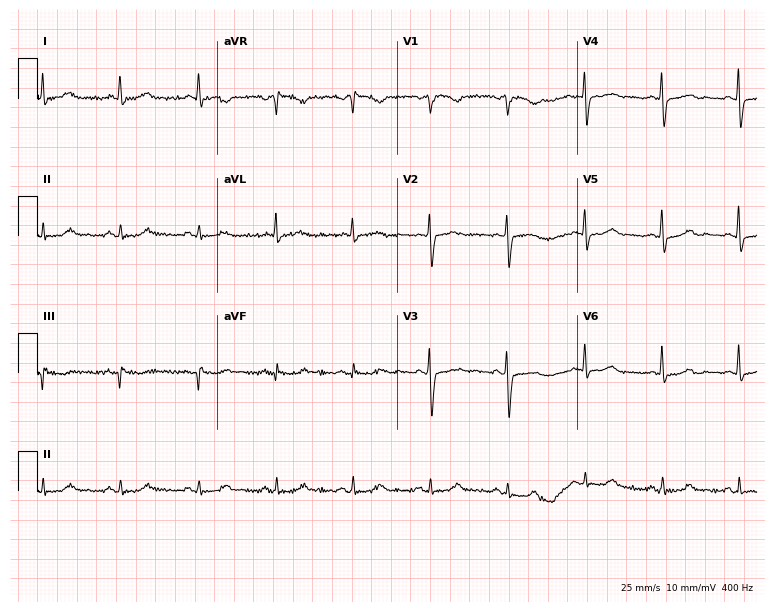
12-lead ECG (7.3-second recording at 400 Hz) from an 83-year-old female. Labelled as a normal ECG.